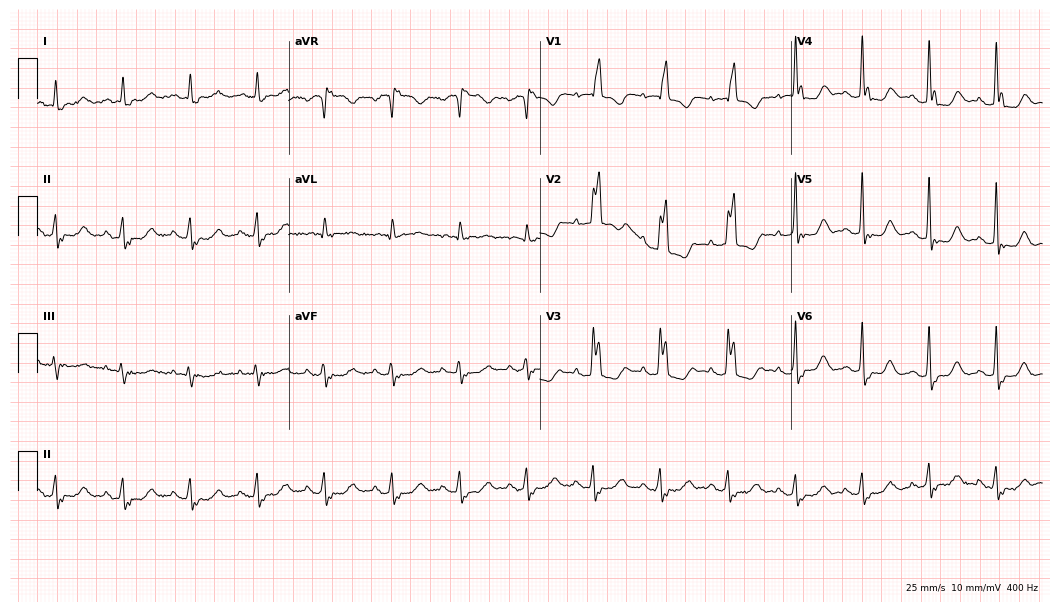
Electrocardiogram (10.2-second recording at 400 Hz), a woman, 72 years old. Interpretation includes right bundle branch block.